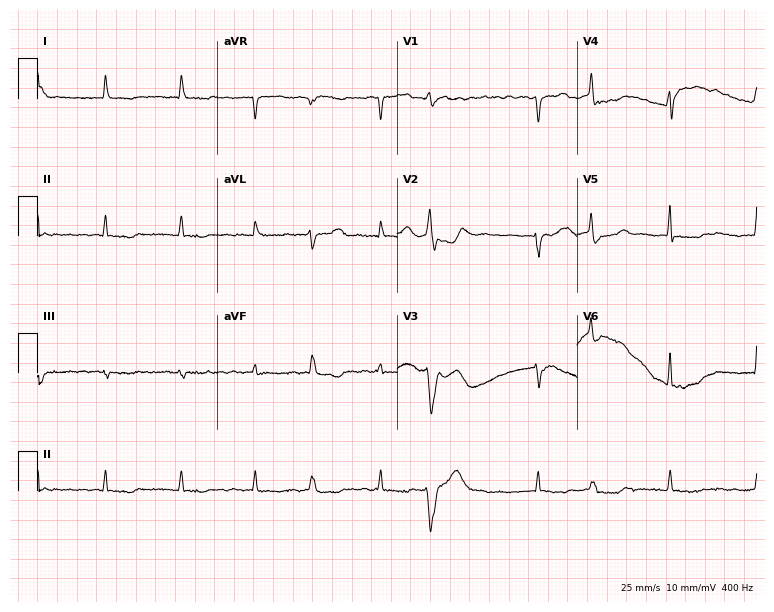
Electrocardiogram, a woman, 83 years old. Interpretation includes atrial fibrillation (AF).